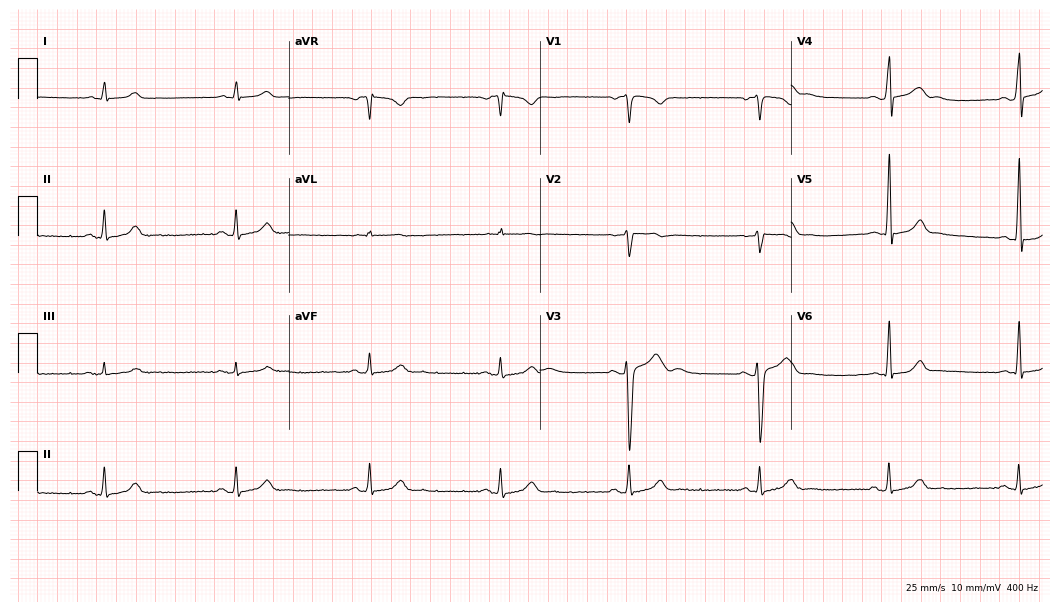
12-lead ECG from a 25-year-old man (10.2-second recording at 400 Hz). No first-degree AV block, right bundle branch block (RBBB), left bundle branch block (LBBB), sinus bradycardia, atrial fibrillation (AF) or sinus tachycardia recorded for this tracing.